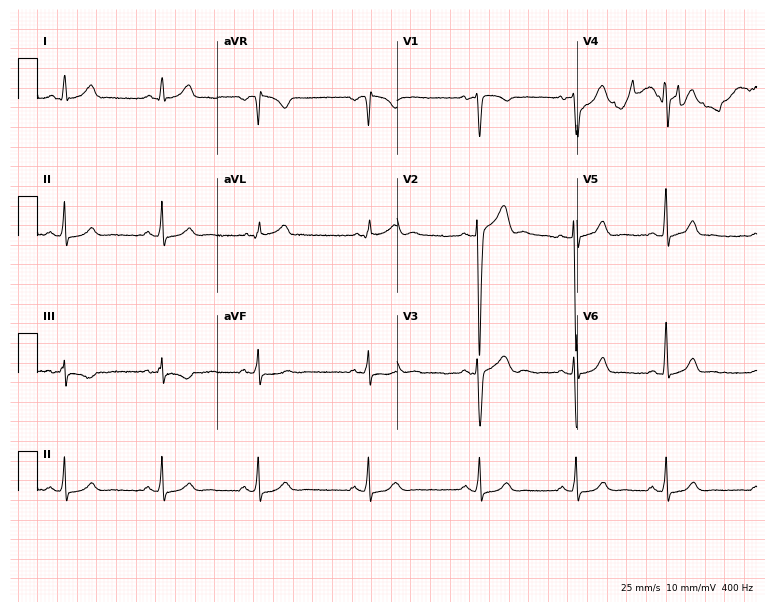
Standard 12-lead ECG recorded from a male, 34 years old. Read as a normal ECG.